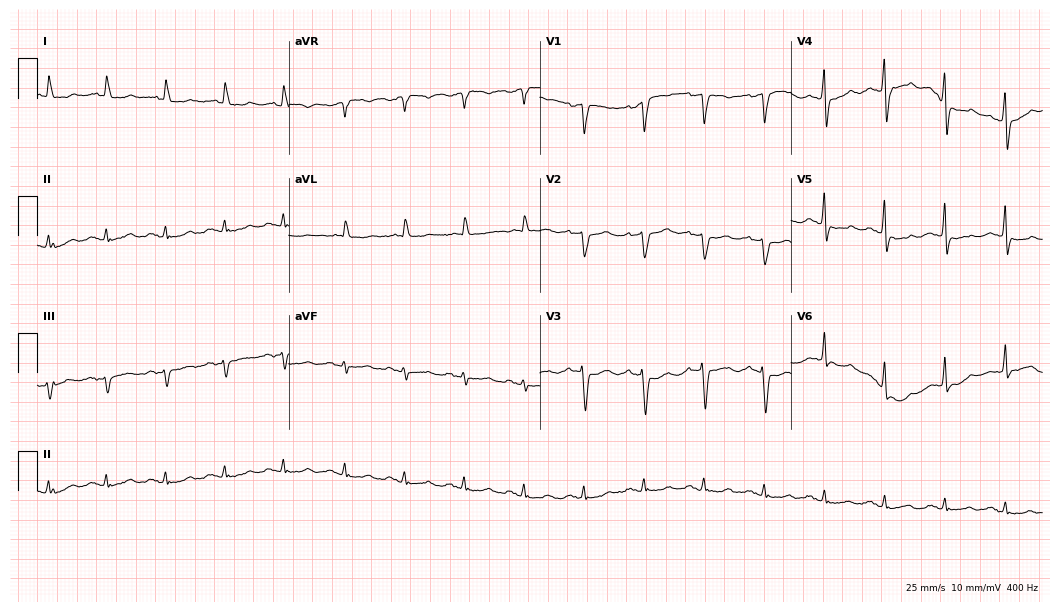
Resting 12-lead electrocardiogram. Patient: a 63-year-old female. None of these six findings is recorded: first-degree AV block, right bundle branch block, left bundle branch block, sinus bradycardia, atrial fibrillation, sinus tachycardia.